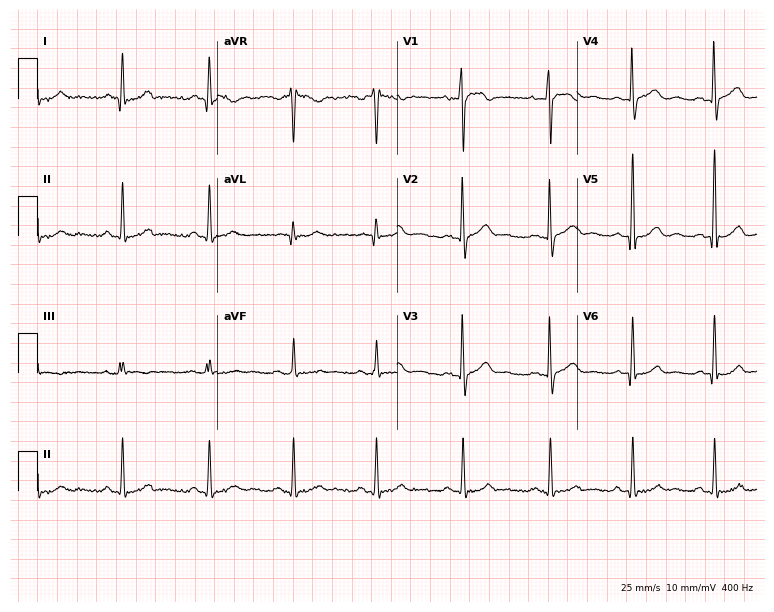
Resting 12-lead electrocardiogram (7.3-second recording at 400 Hz). Patient: a 60-year-old man. None of these six findings is recorded: first-degree AV block, right bundle branch block, left bundle branch block, sinus bradycardia, atrial fibrillation, sinus tachycardia.